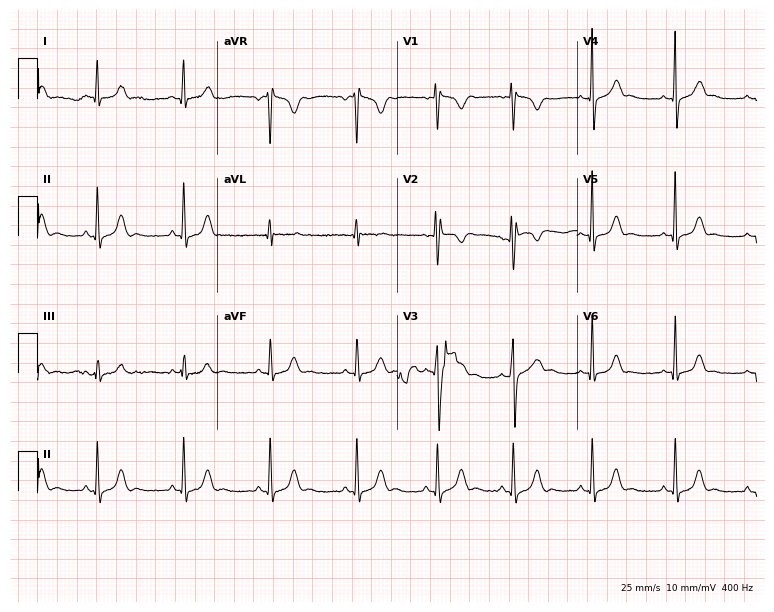
Electrocardiogram (7.3-second recording at 400 Hz), a female patient, 19 years old. Of the six screened findings (first-degree AV block, right bundle branch block, left bundle branch block, sinus bradycardia, atrial fibrillation, sinus tachycardia), none is recorded. Only these six findings were labelled.